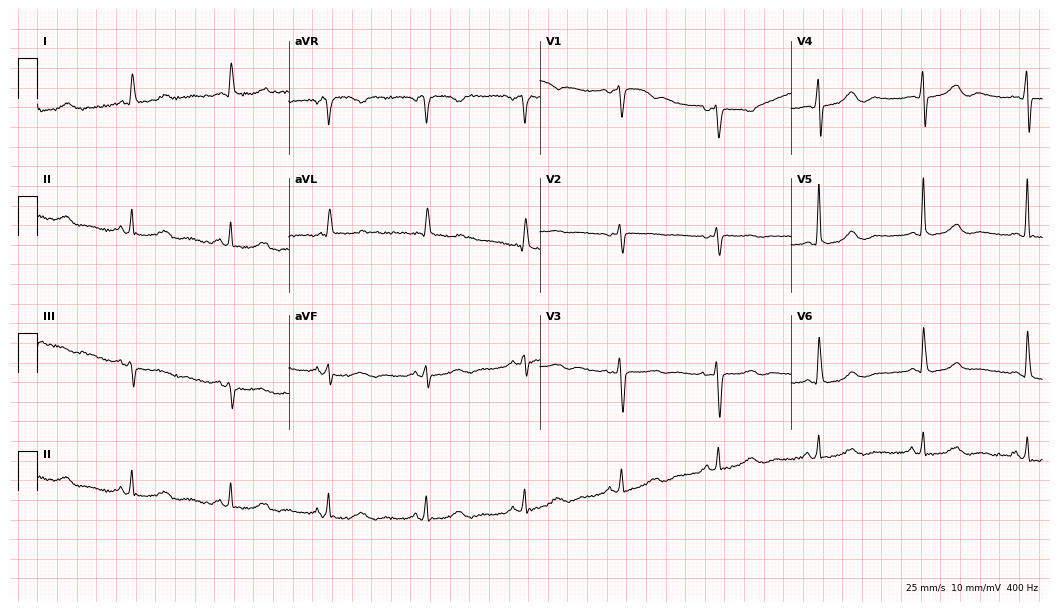
12-lead ECG (10.2-second recording at 400 Hz) from a 69-year-old woman. Screened for six findings — first-degree AV block, right bundle branch block, left bundle branch block, sinus bradycardia, atrial fibrillation, sinus tachycardia — none is recorded.